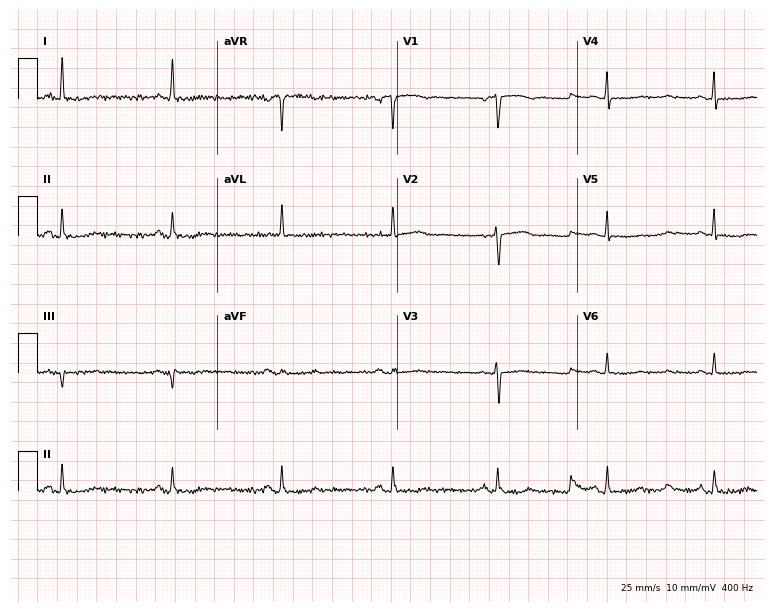
Resting 12-lead electrocardiogram (7.3-second recording at 400 Hz). Patient: a woman, 55 years old. Read as a normal ECG.